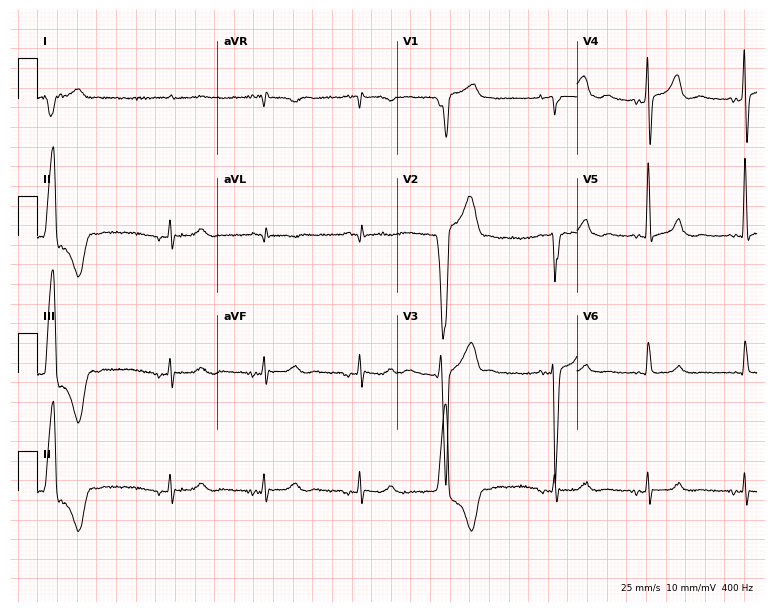
ECG — a 75-year-old male. Screened for six findings — first-degree AV block, right bundle branch block, left bundle branch block, sinus bradycardia, atrial fibrillation, sinus tachycardia — none is recorded.